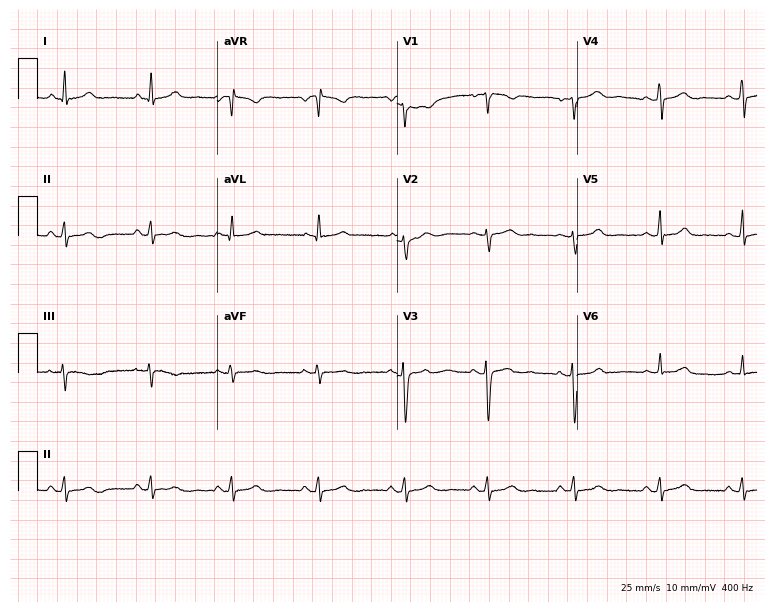
12-lead ECG from a woman, 20 years old (7.3-second recording at 400 Hz). Recorded interpretation: within normal limits.